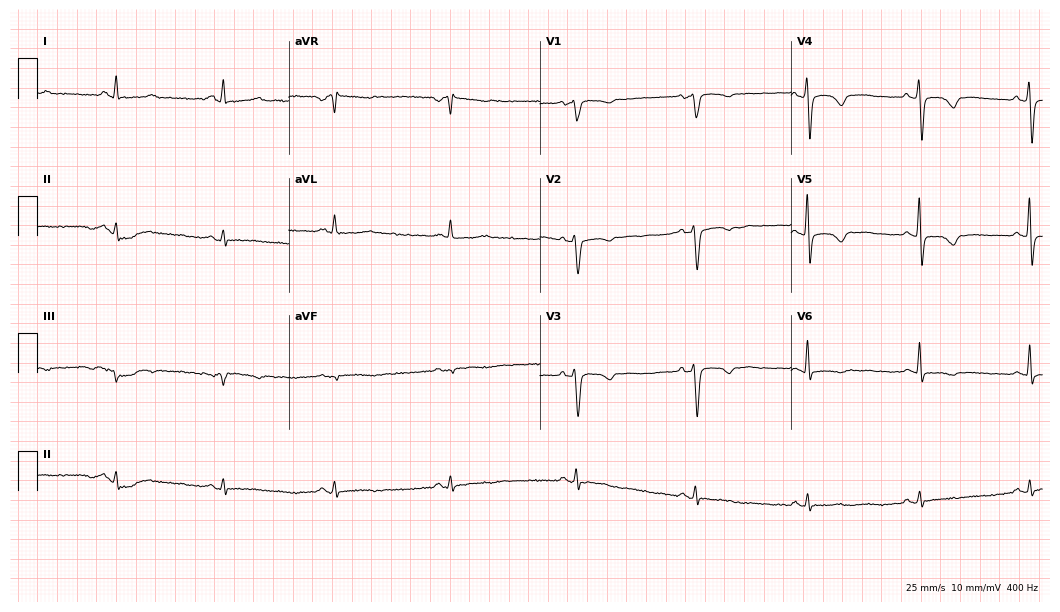
Electrocardiogram (10.2-second recording at 400 Hz), a woman, 54 years old. Of the six screened findings (first-degree AV block, right bundle branch block (RBBB), left bundle branch block (LBBB), sinus bradycardia, atrial fibrillation (AF), sinus tachycardia), none is recorded.